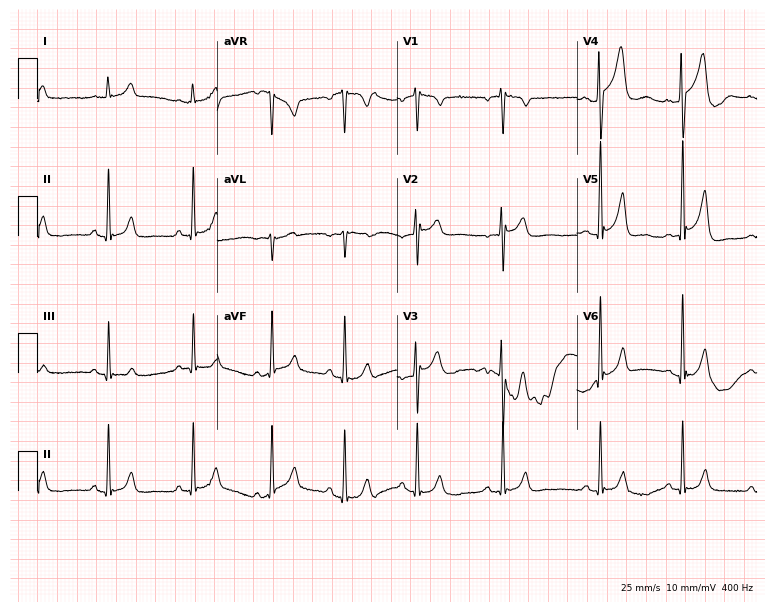
Electrocardiogram (7.3-second recording at 400 Hz), a 20-year-old male. Overall reading on record: normal ECG.